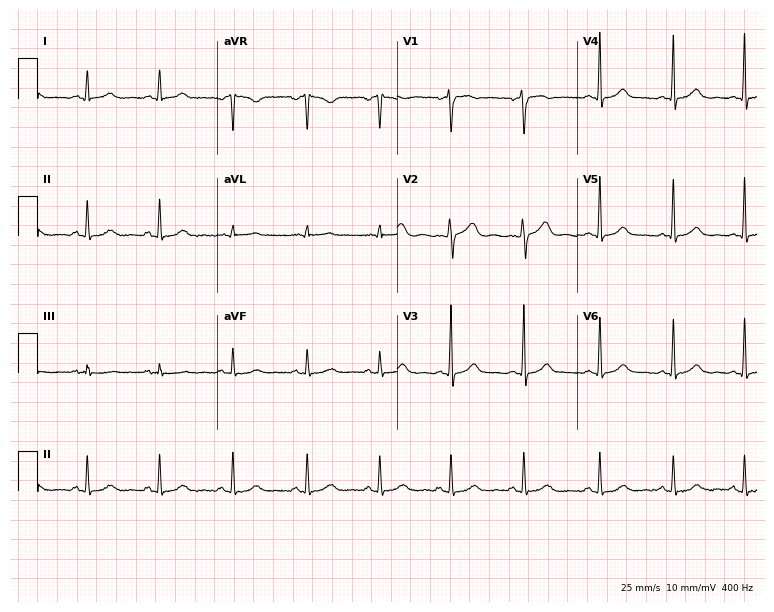
12-lead ECG from a female, 30 years old. Labelled as a normal ECG.